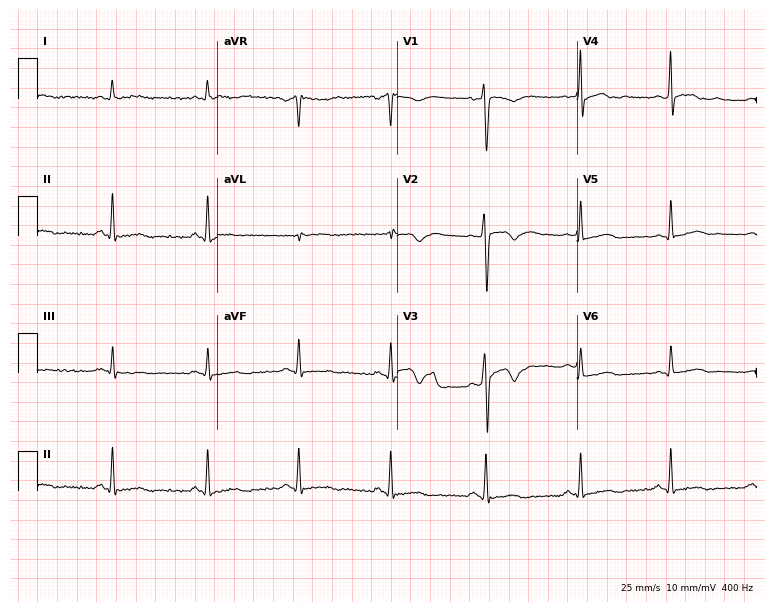
12-lead ECG (7.3-second recording at 400 Hz) from a male, 25 years old. Screened for six findings — first-degree AV block, right bundle branch block, left bundle branch block, sinus bradycardia, atrial fibrillation, sinus tachycardia — none is recorded.